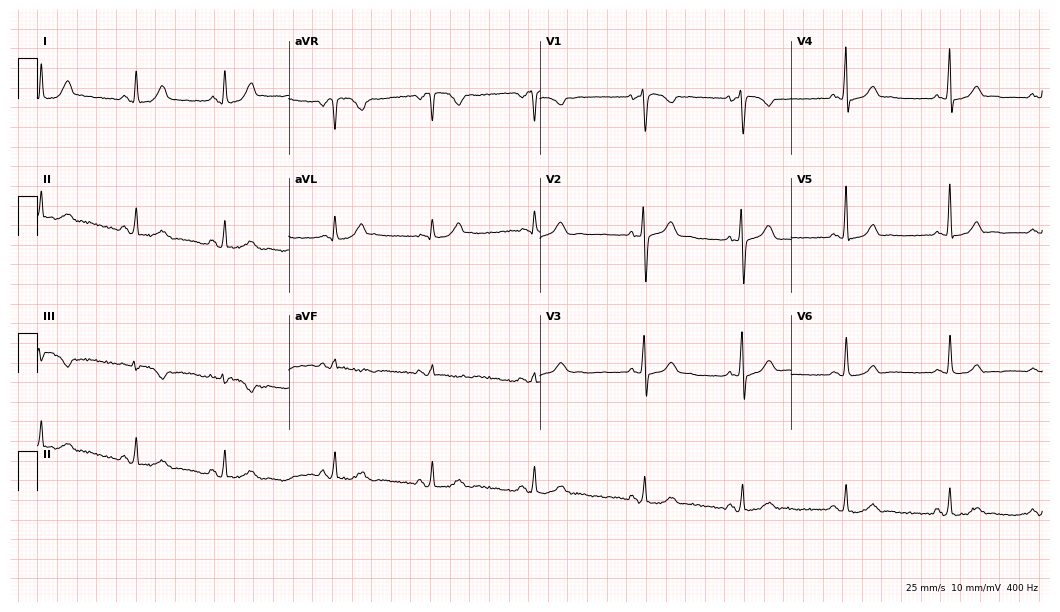
Resting 12-lead electrocardiogram. Patient: a 33-year-old woman. Read as a normal ECG.